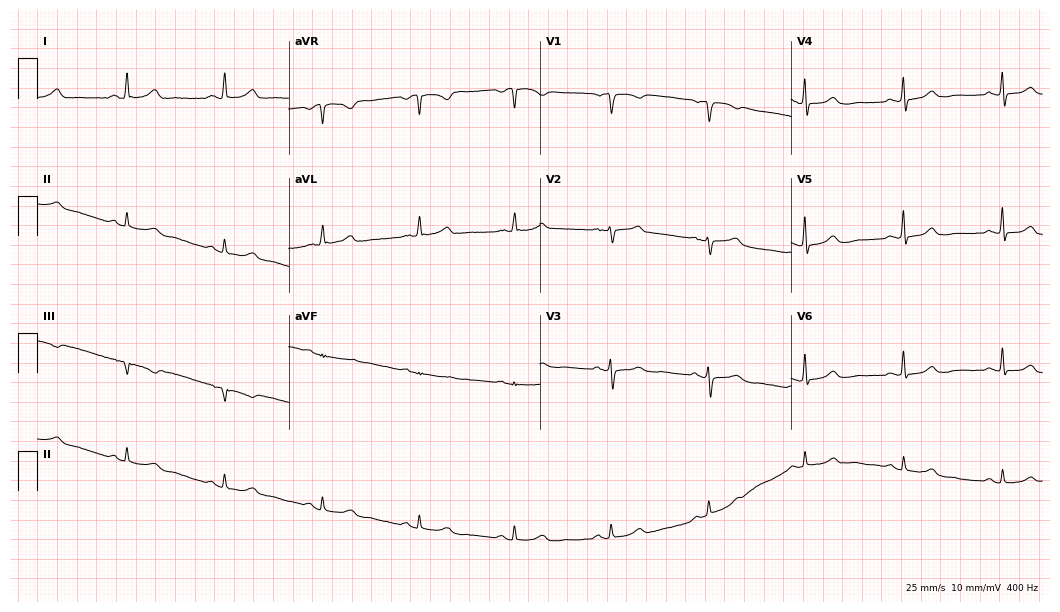
12-lead ECG from a 76-year-old female patient. Labelled as a normal ECG.